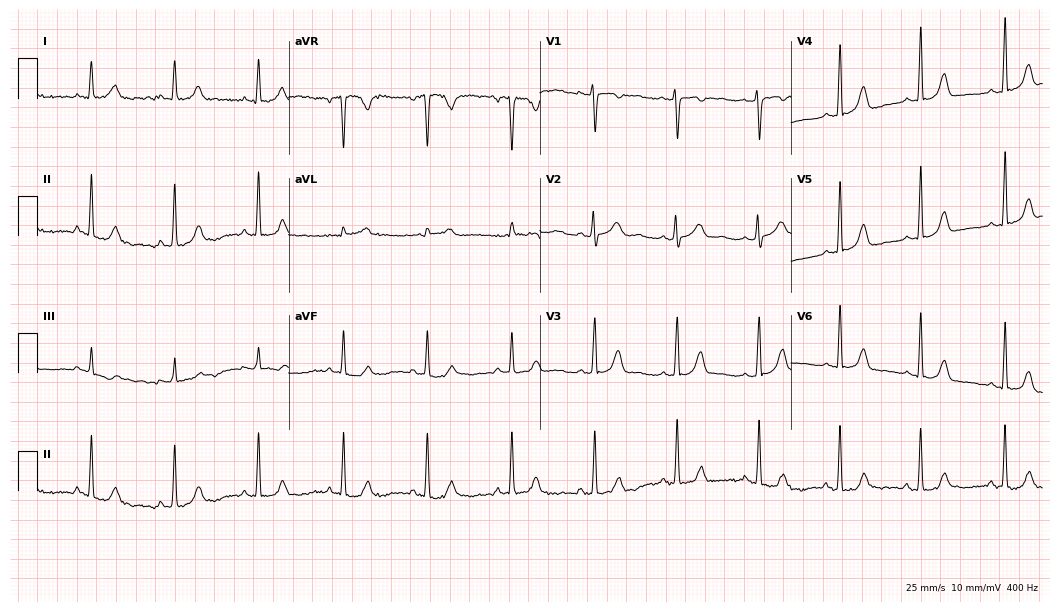
12-lead ECG from a 52-year-old female. No first-degree AV block, right bundle branch block, left bundle branch block, sinus bradycardia, atrial fibrillation or sinus tachycardia recorded for this tracing. Only these six findings were labelled.